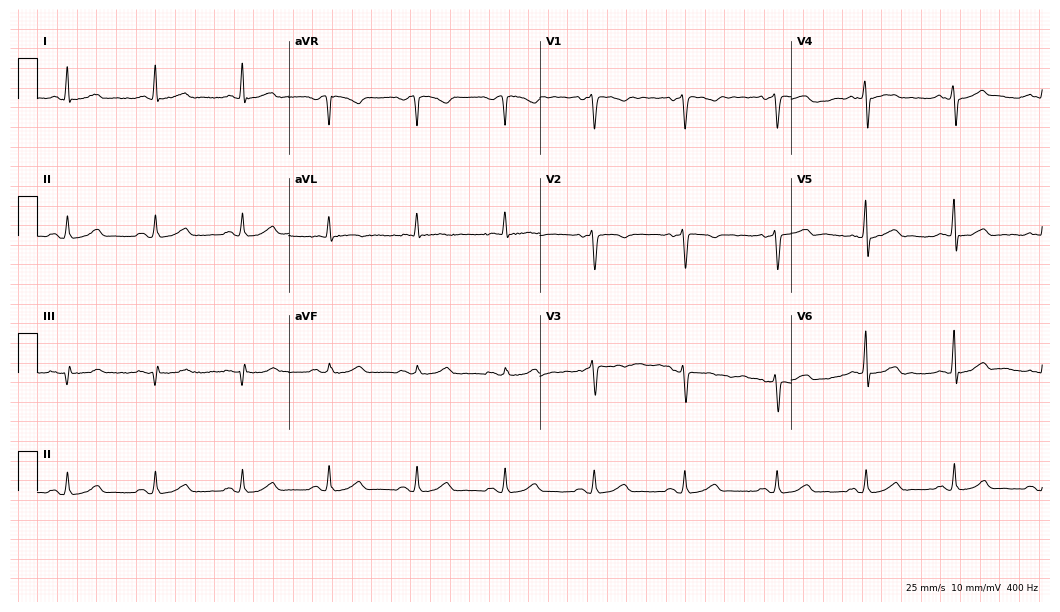
Standard 12-lead ECG recorded from a 70-year-old female patient. None of these six findings is recorded: first-degree AV block, right bundle branch block (RBBB), left bundle branch block (LBBB), sinus bradycardia, atrial fibrillation (AF), sinus tachycardia. Other findings, if any, are not listed.